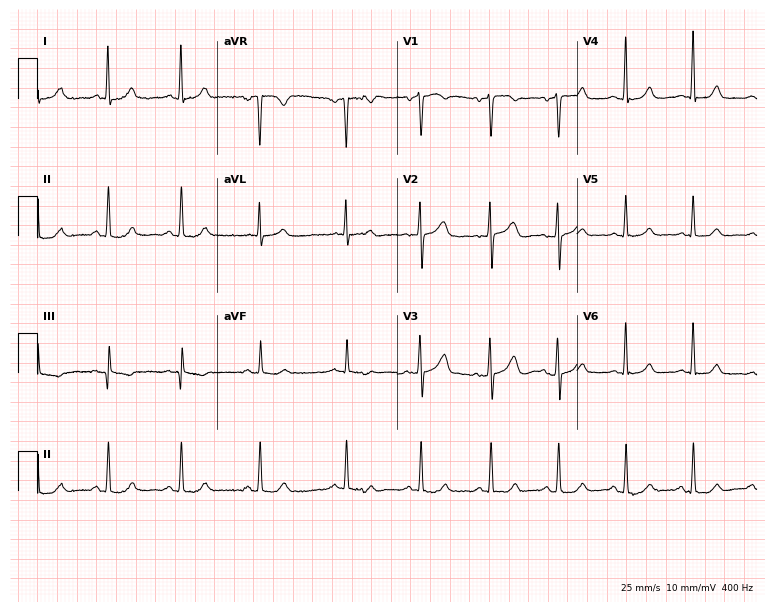
12-lead ECG from a 38-year-old female (7.3-second recording at 400 Hz). No first-degree AV block, right bundle branch block, left bundle branch block, sinus bradycardia, atrial fibrillation or sinus tachycardia recorded for this tracing. Only these six findings were labelled.